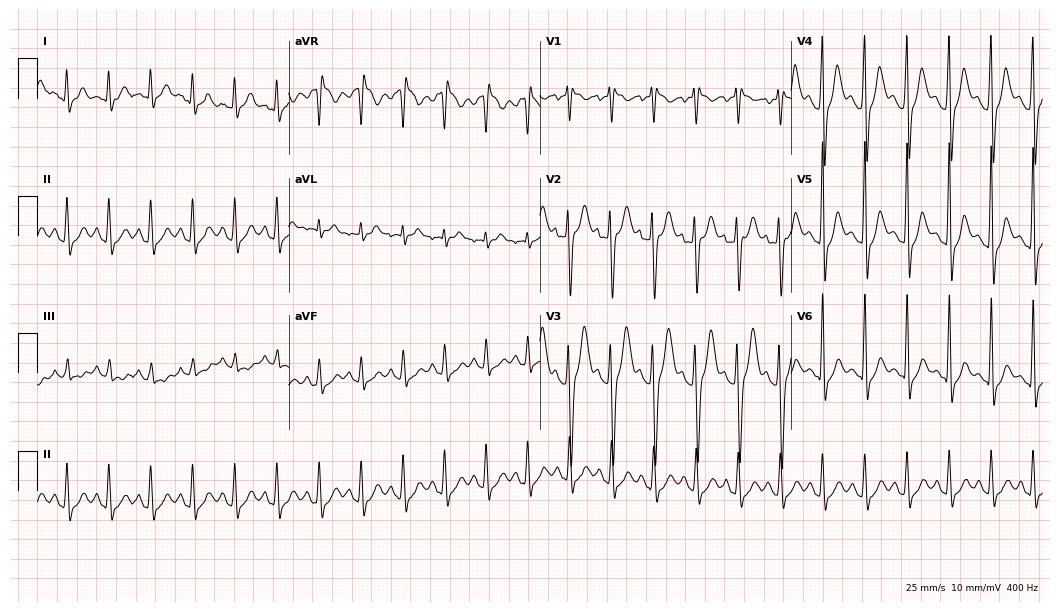
12-lead ECG from a 19-year-old man. Findings include sinus tachycardia (a sinus rate of 100 beats per minute or more).